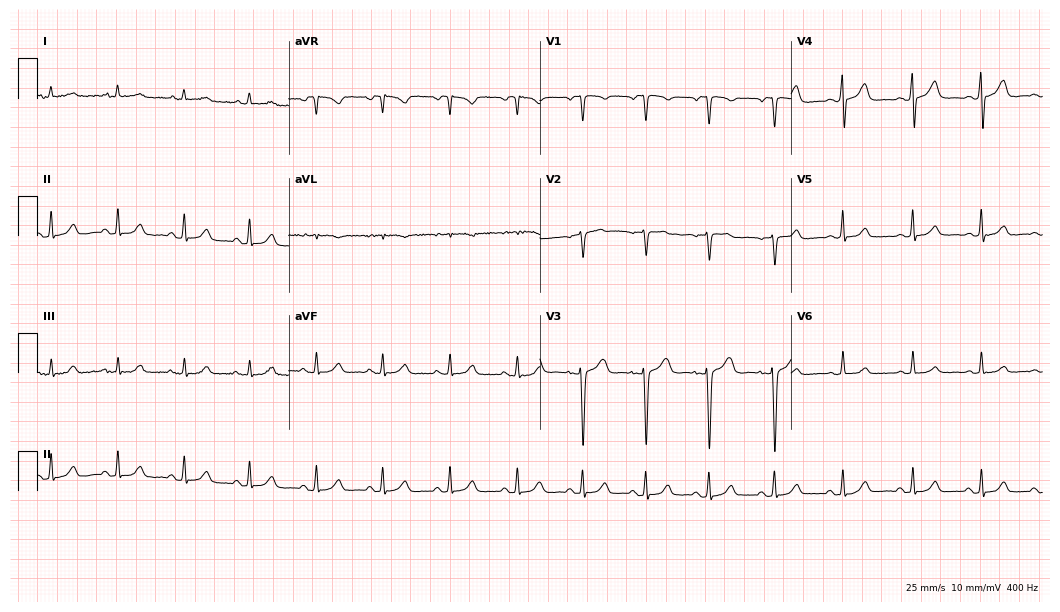
12-lead ECG (10.2-second recording at 400 Hz) from a 23-year-old male patient. Labelled as a normal ECG.